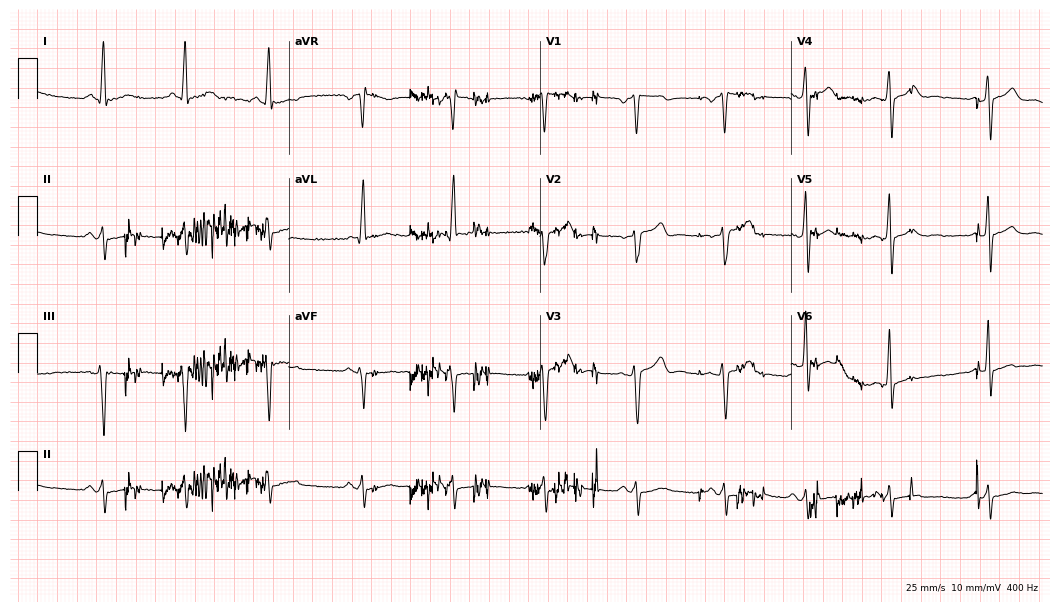
ECG (10.2-second recording at 400 Hz) — a male, 66 years old. Screened for six findings — first-degree AV block, right bundle branch block, left bundle branch block, sinus bradycardia, atrial fibrillation, sinus tachycardia — none is recorded.